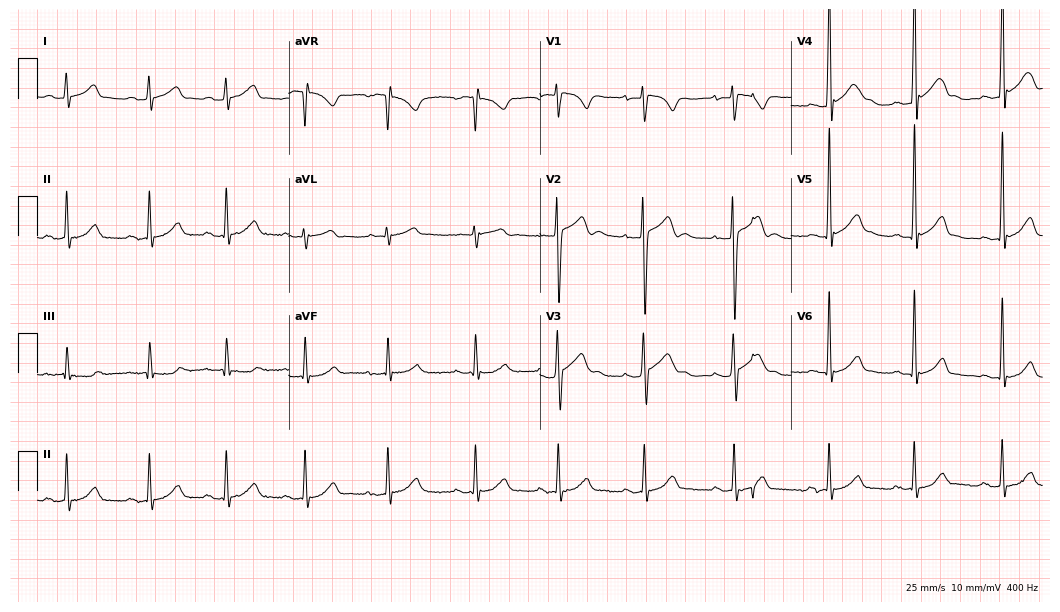
Electrocardiogram, a 17-year-old male. Overall reading on record: normal ECG.